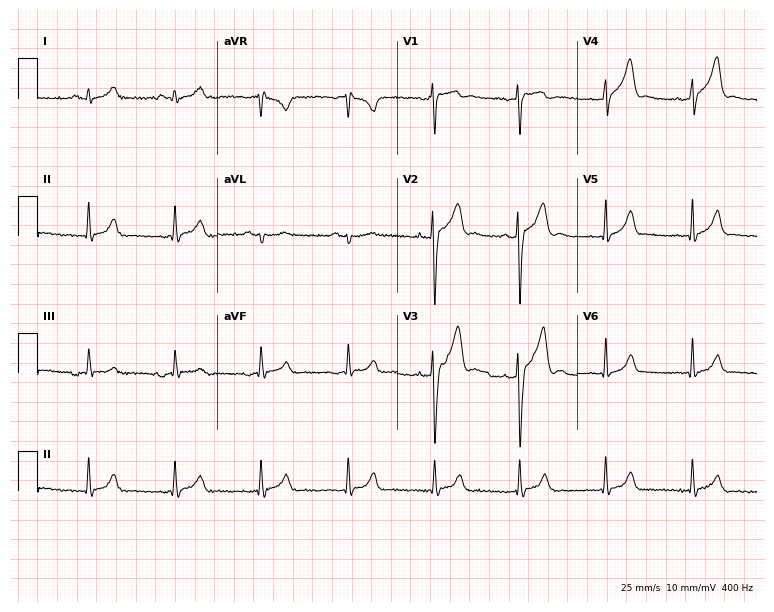
Standard 12-lead ECG recorded from a man, 36 years old. Read as a normal ECG.